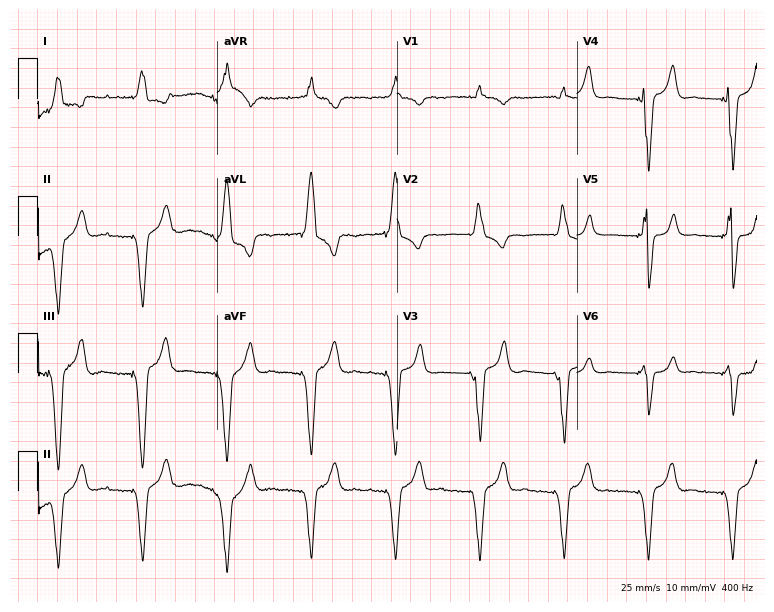
12-lead ECG from a female patient, 81 years old (7.3-second recording at 400 Hz). No first-degree AV block, right bundle branch block (RBBB), left bundle branch block (LBBB), sinus bradycardia, atrial fibrillation (AF) or sinus tachycardia recorded for this tracing.